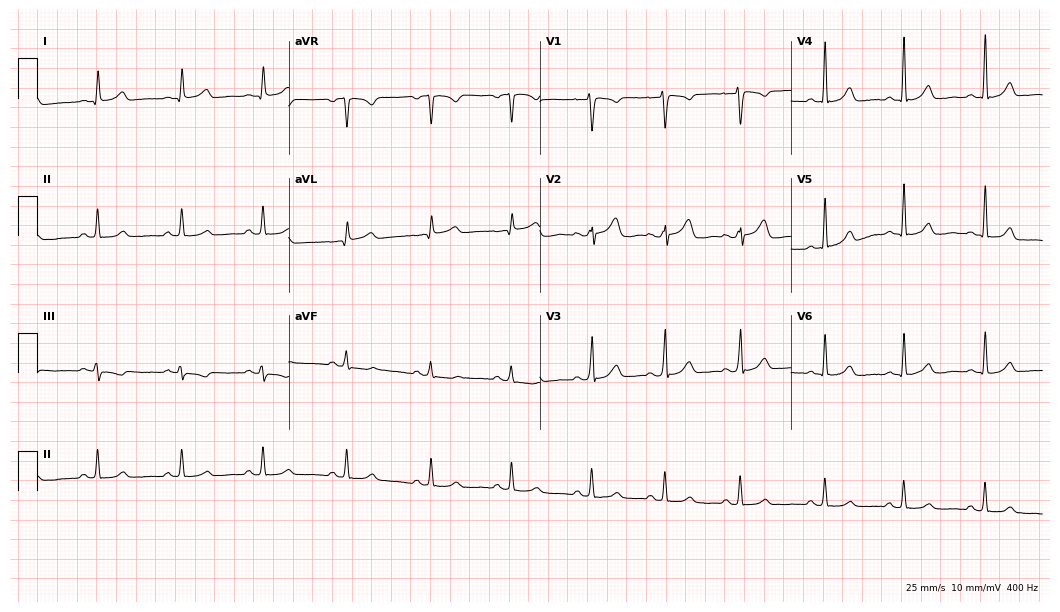
Resting 12-lead electrocardiogram. Patient: a 34-year-old woman. Read as a normal ECG.